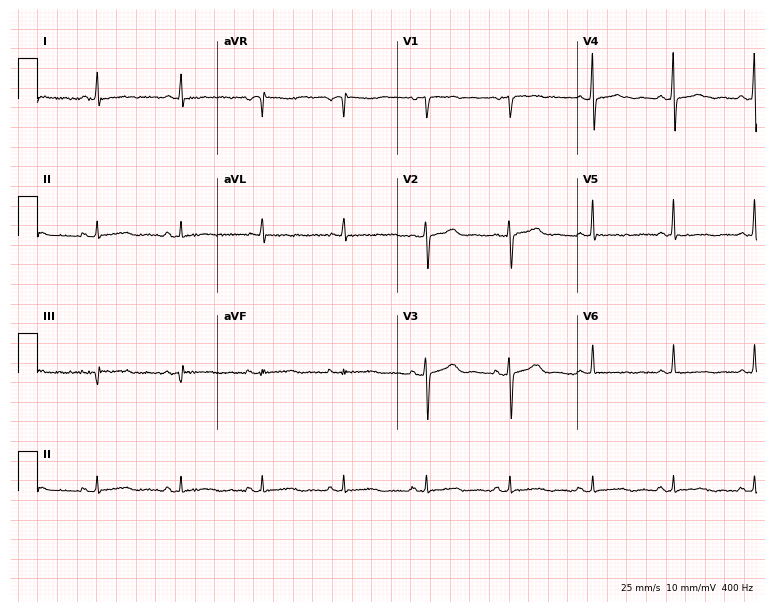
Electrocardiogram, a female patient, 48 years old. Of the six screened findings (first-degree AV block, right bundle branch block, left bundle branch block, sinus bradycardia, atrial fibrillation, sinus tachycardia), none is recorded.